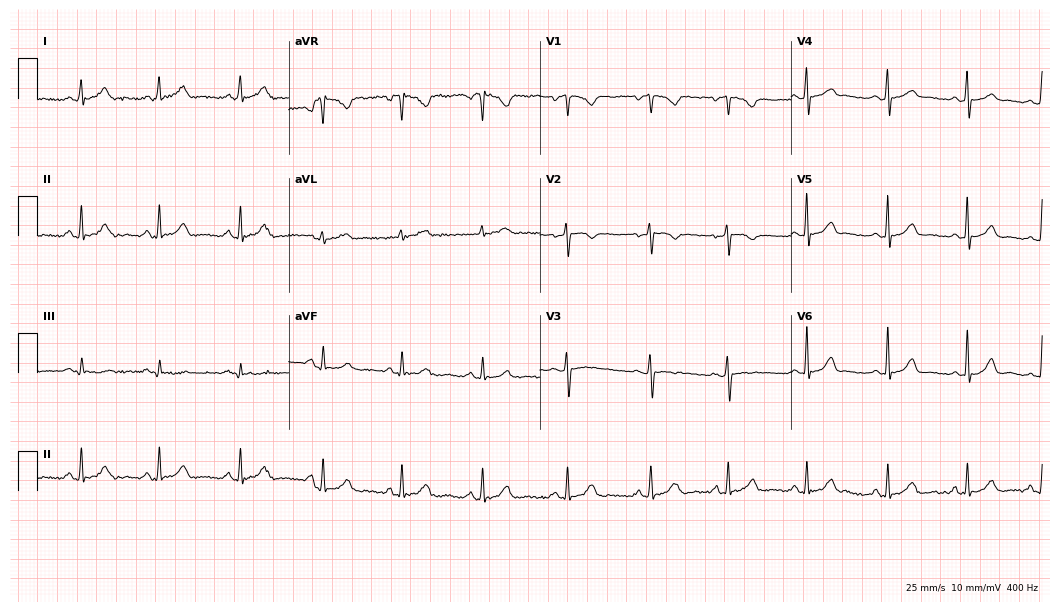
Electrocardiogram (10.2-second recording at 400 Hz), a 34-year-old woman. Overall reading on record: normal ECG.